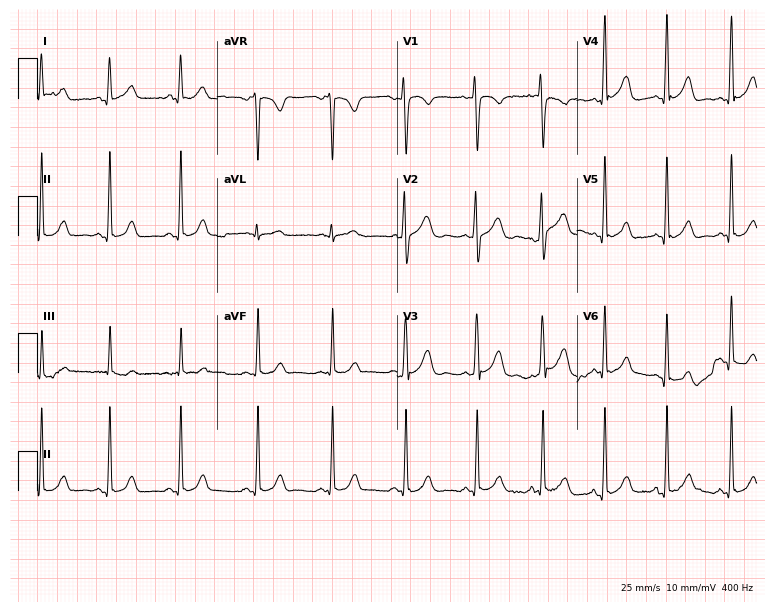
12-lead ECG from a 36-year-old female (7.3-second recording at 400 Hz). No first-degree AV block, right bundle branch block (RBBB), left bundle branch block (LBBB), sinus bradycardia, atrial fibrillation (AF) or sinus tachycardia recorded for this tracing. Findings outside these six are not listed.